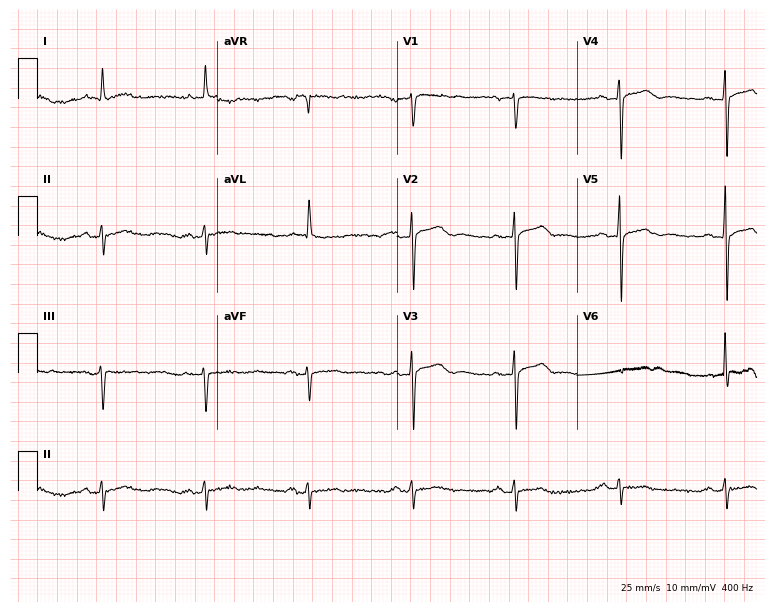
12-lead ECG (7.3-second recording at 400 Hz) from a 71-year-old male patient. Screened for six findings — first-degree AV block, right bundle branch block, left bundle branch block, sinus bradycardia, atrial fibrillation, sinus tachycardia — none is recorded. Only these six findings were labelled.